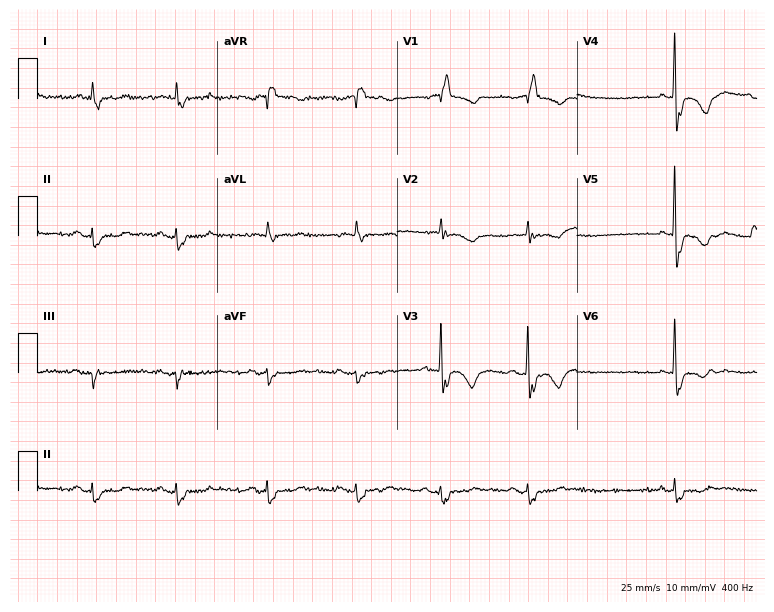
Resting 12-lead electrocardiogram. Patient: a 74-year-old female. None of these six findings is recorded: first-degree AV block, right bundle branch block, left bundle branch block, sinus bradycardia, atrial fibrillation, sinus tachycardia.